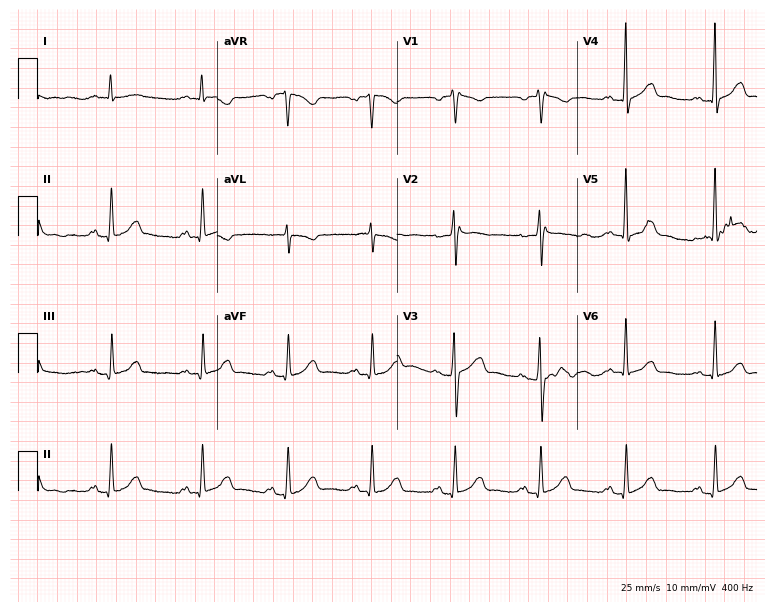
Standard 12-lead ECG recorded from a 58-year-old man. None of these six findings is recorded: first-degree AV block, right bundle branch block, left bundle branch block, sinus bradycardia, atrial fibrillation, sinus tachycardia.